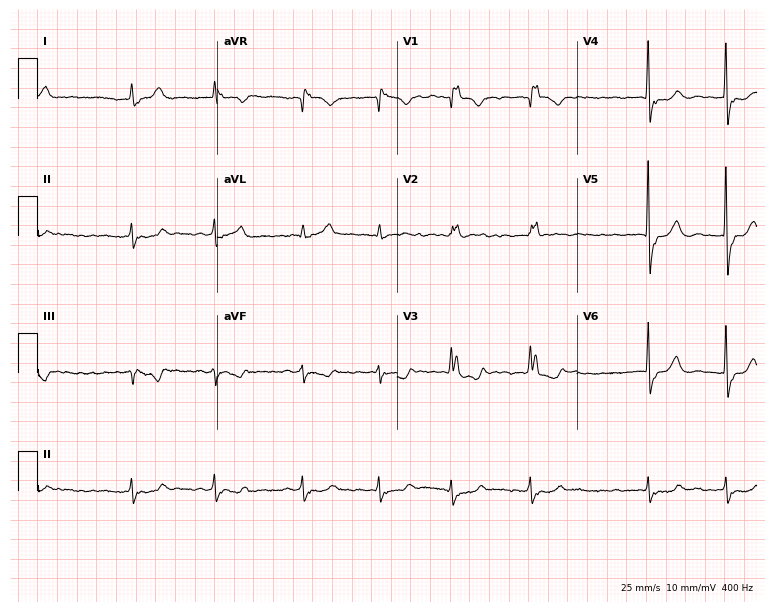
12-lead ECG (7.3-second recording at 400 Hz) from a 72-year-old female. Screened for six findings — first-degree AV block, right bundle branch block (RBBB), left bundle branch block (LBBB), sinus bradycardia, atrial fibrillation (AF), sinus tachycardia — none is recorded.